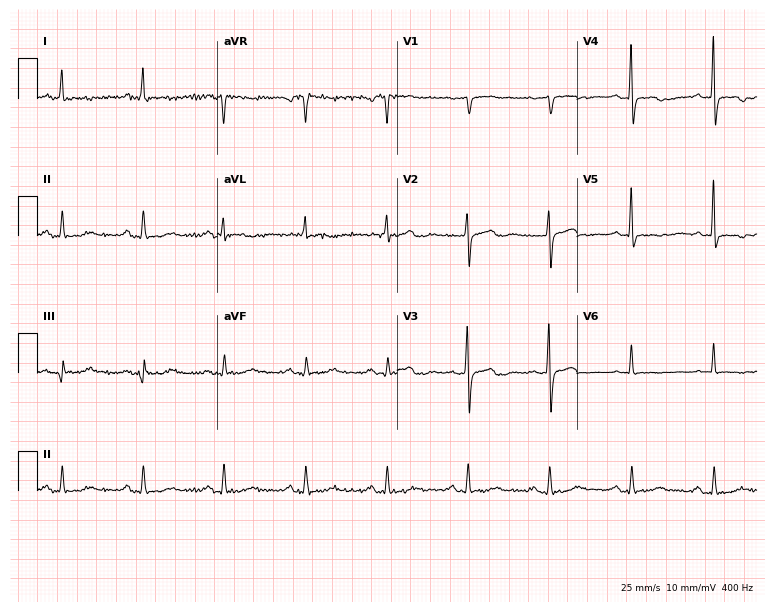
Standard 12-lead ECG recorded from a 61-year-old female patient. None of these six findings is recorded: first-degree AV block, right bundle branch block (RBBB), left bundle branch block (LBBB), sinus bradycardia, atrial fibrillation (AF), sinus tachycardia. Only these six findings were labelled.